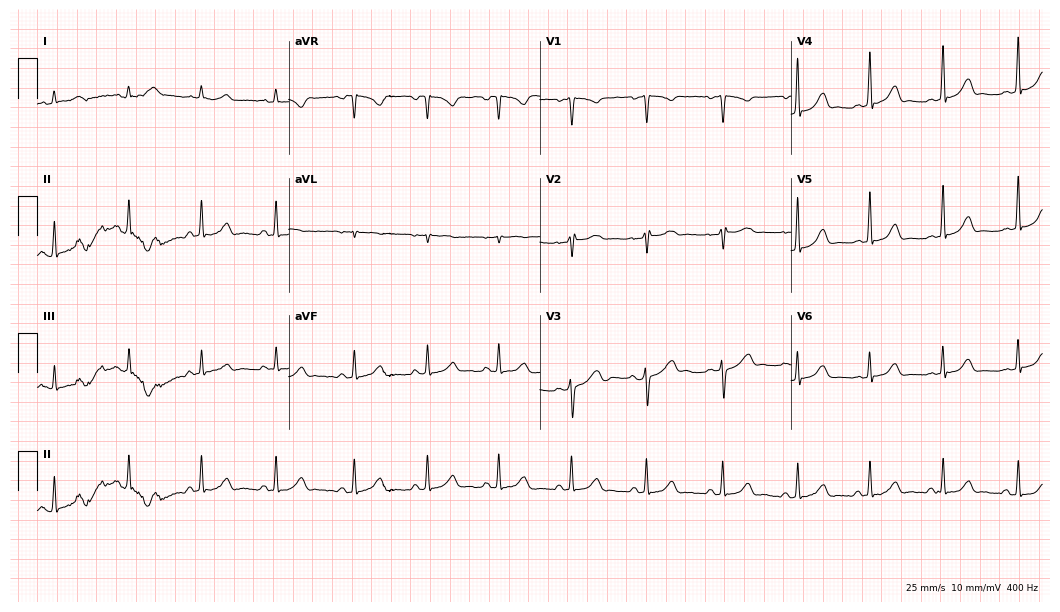
12-lead ECG from a female, 22 years old. Recorded interpretation: within normal limits.